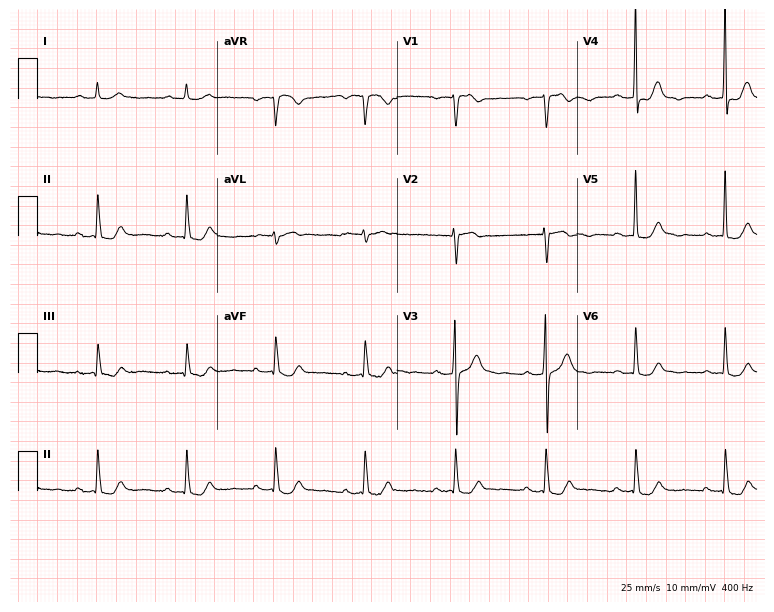
Resting 12-lead electrocardiogram (7.3-second recording at 400 Hz). Patient: a female, 84 years old. Read as a normal ECG.